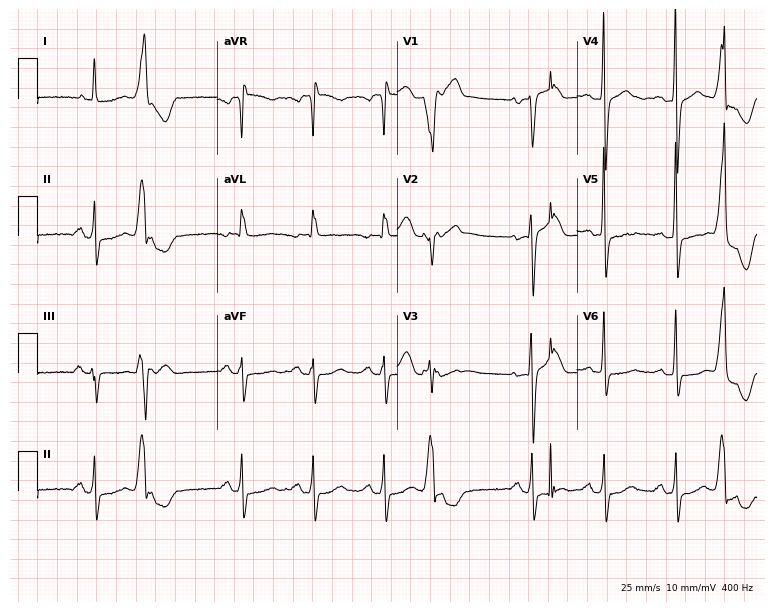
12-lead ECG from a female, 66 years old. Screened for six findings — first-degree AV block, right bundle branch block, left bundle branch block, sinus bradycardia, atrial fibrillation, sinus tachycardia — none is recorded.